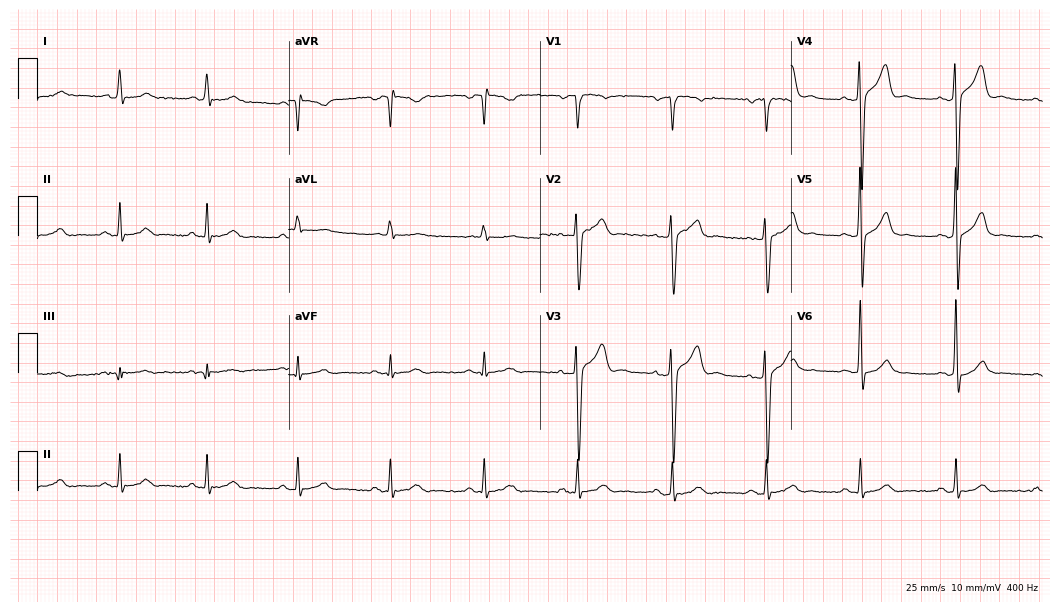
Resting 12-lead electrocardiogram. Patient: a female, 70 years old. Read as a normal ECG.